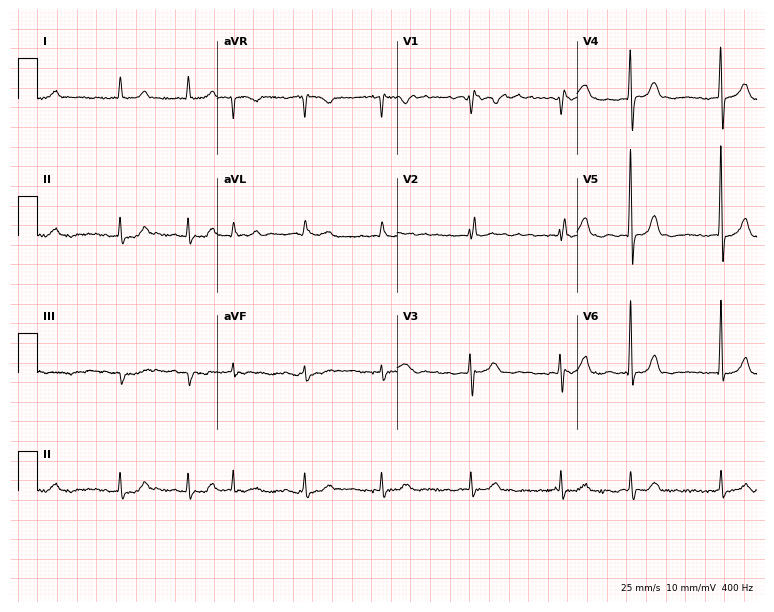
12-lead ECG (7.3-second recording at 400 Hz) from a woman, 73 years old. Findings include atrial fibrillation.